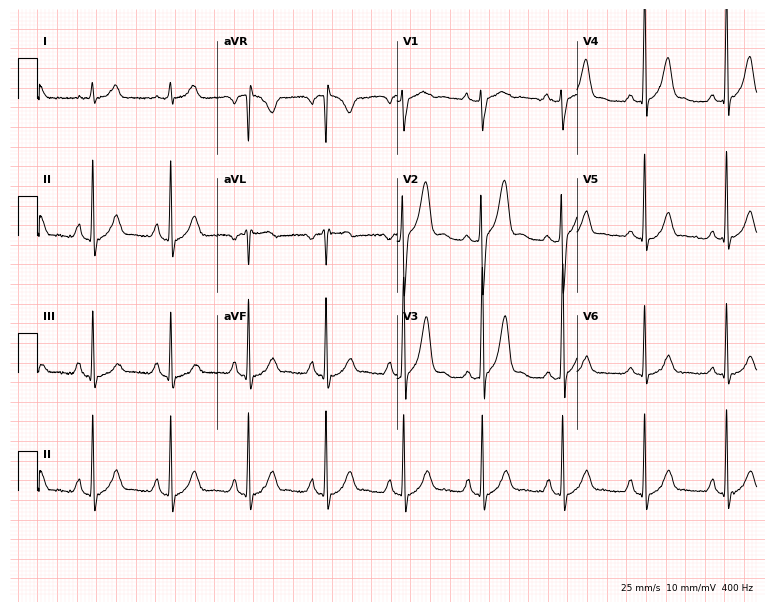
Electrocardiogram, a 30-year-old man. Of the six screened findings (first-degree AV block, right bundle branch block (RBBB), left bundle branch block (LBBB), sinus bradycardia, atrial fibrillation (AF), sinus tachycardia), none is recorded.